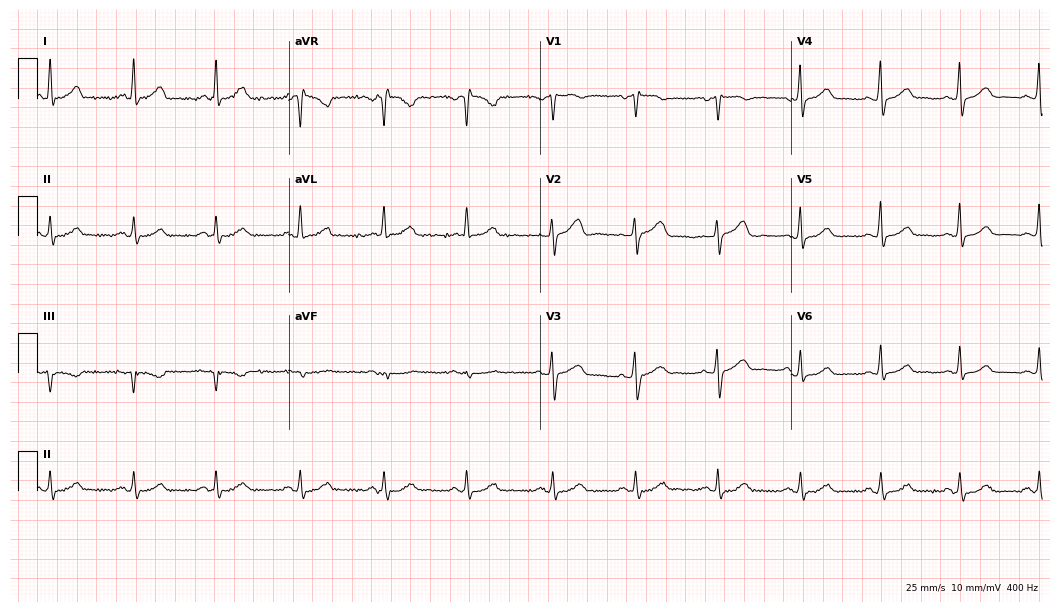
12-lead ECG from a woman, 59 years old. Labelled as a normal ECG.